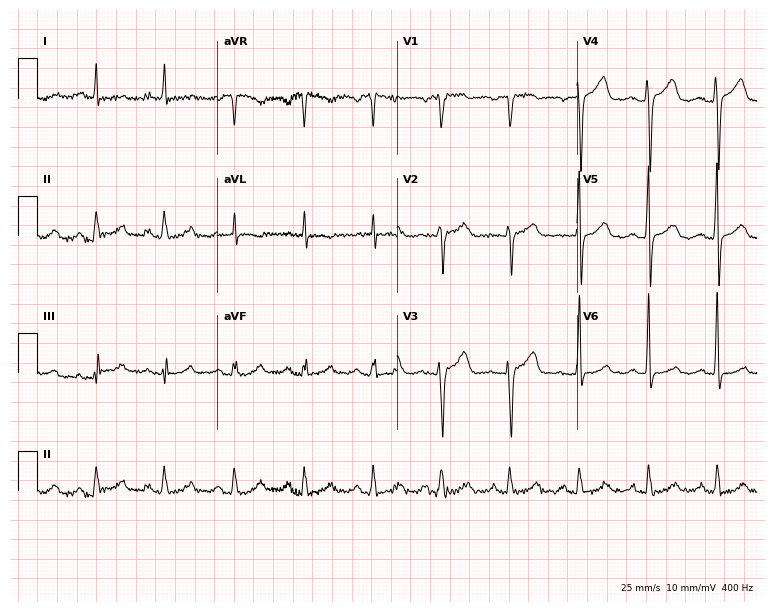
12-lead ECG from a 68-year-old female patient. Screened for six findings — first-degree AV block, right bundle branch block, left bundle branch block, sinus bradycardia, atrial fibrillation, sinus tachycardia — none is recorded. Other findings, if any, are not listed.